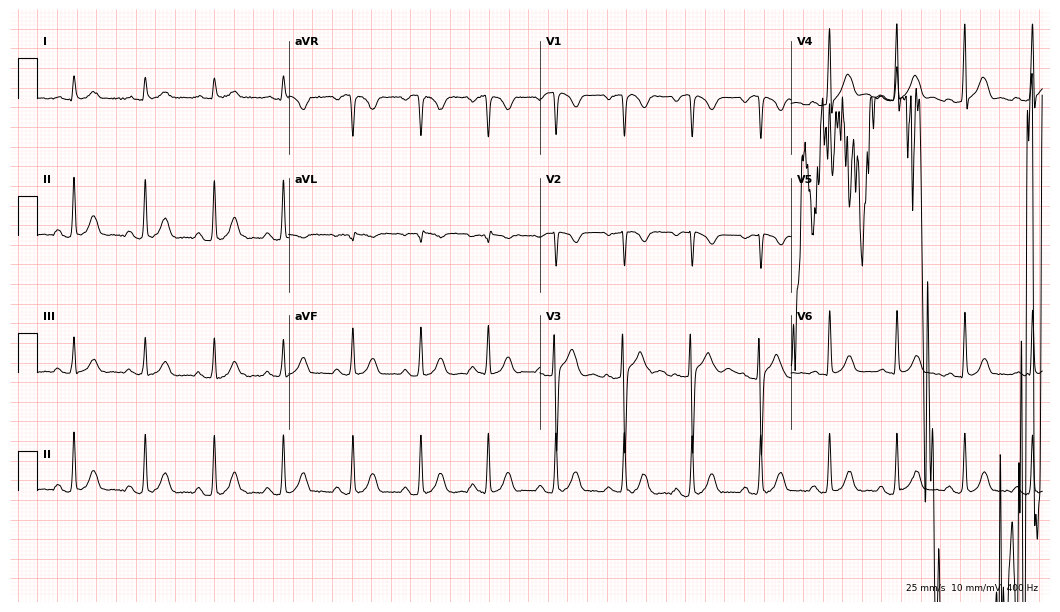
12-lead ECG from a 58-year-old male. Screened for six findings — first-degree AV block, right bundle branch block, left bundle branch block, sinus bradycardia, atrial fibrillation, sinus tachycardia — none is recorded. Only these six findings were labelled.